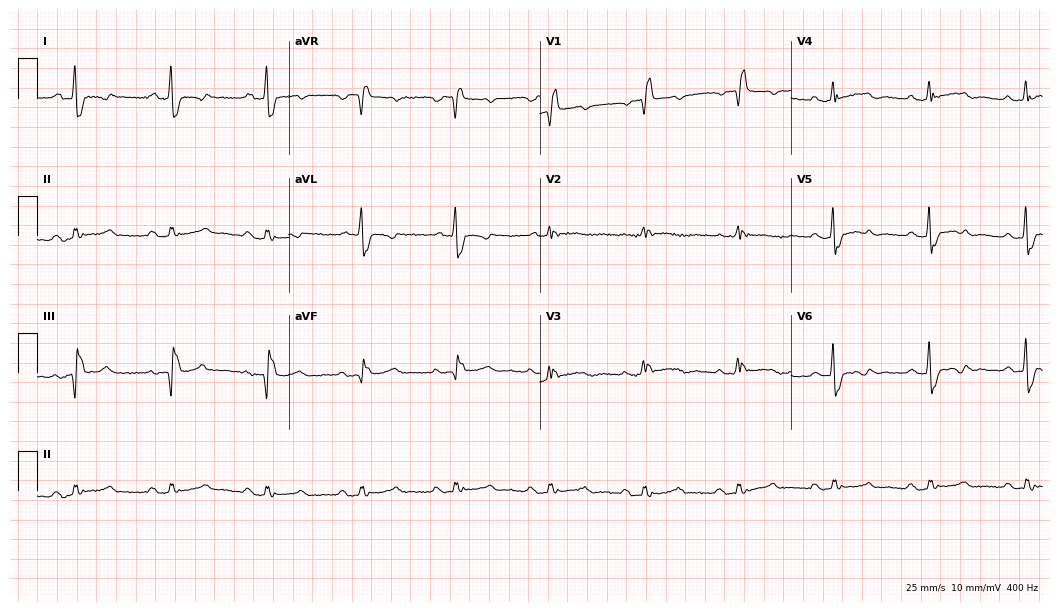
ECG (10.2-second recording at 400 Hz) — a female, 63 years old. Findings include right bundle branch block (RBBB).